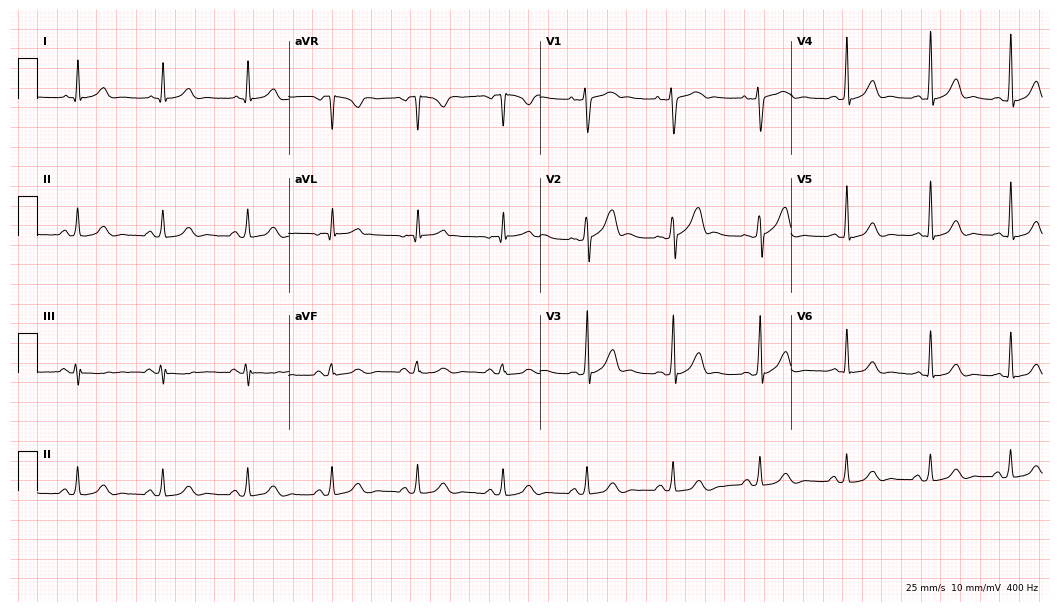
Electrocardiogram (10.2-second recording at 400 Hz), a man, 34 years old. Of the six screened findings (first-degree AV block, right bundle branch block (RBBB), left bundle branch block (LBBB), sinus bradycardia, atrial fibrillation (AF), sinus tachycardia), none is recorded.